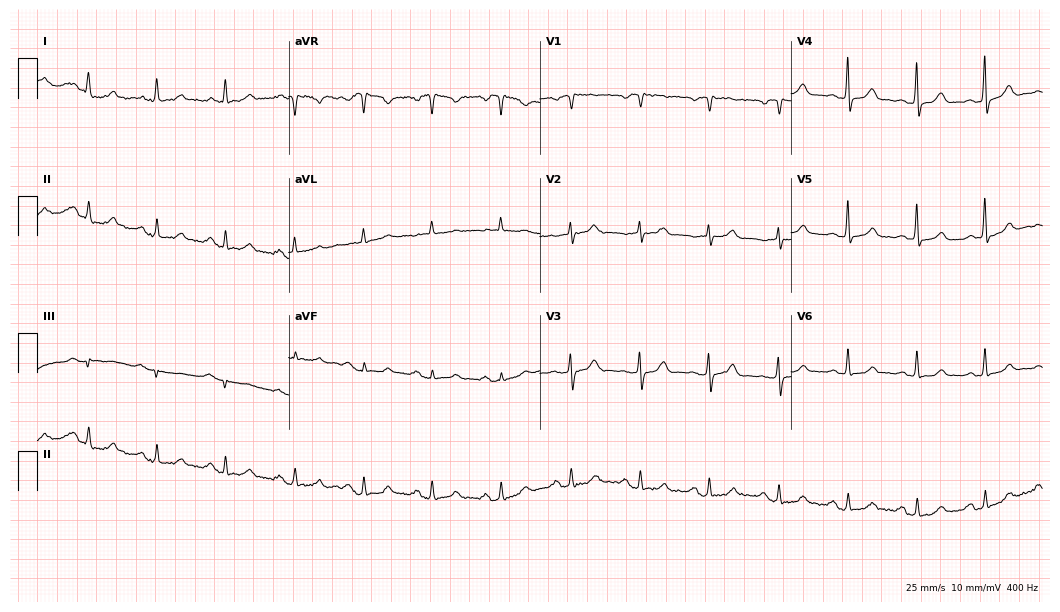
Resting 12-lead electrocardiogram (10.2-second recording at 400 Hz). Patient: a 67-year-old female. Read as a normal ECG.